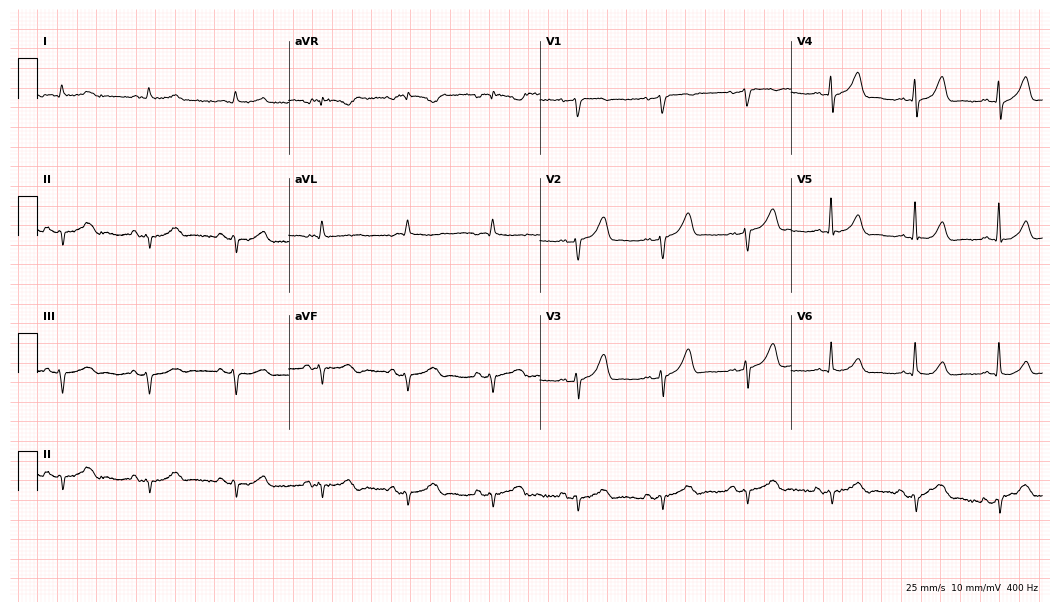
Electrocardiogram, a man, 72 years old. Of the six screened findings (first-degree AV block, right bundle branch block (RBBB), left bundle branch block (LBBB), sinus bradycardia, atrial fibrillation (AF), sinus tachycardia), none is recorded.